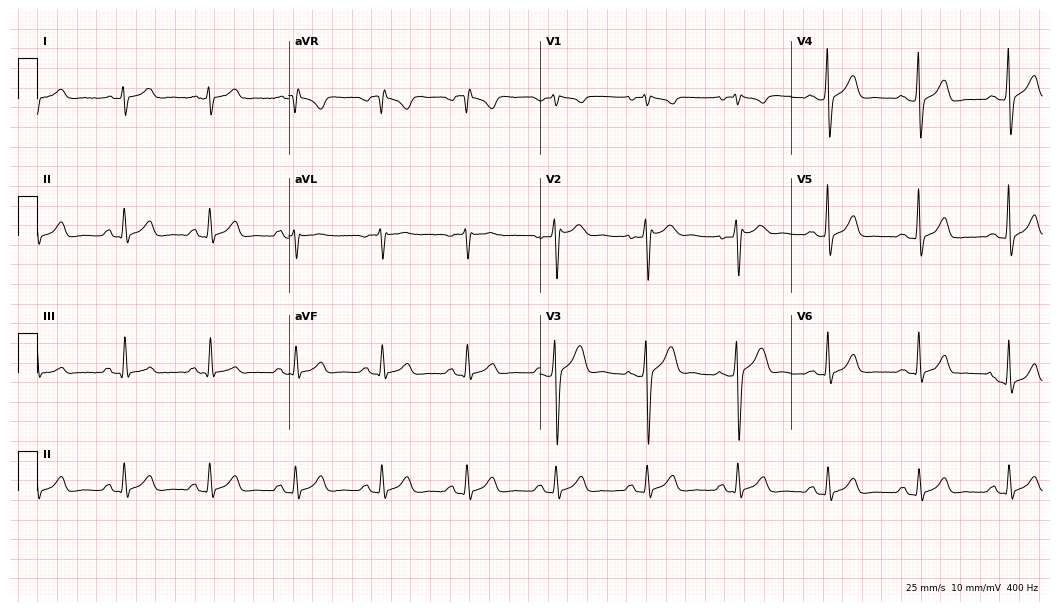
Resting 12-lead electrocardiogram. Patient: a man, 30 years old. None of these six findings is recorded: first-degree AV block, right bundle branch block (RBBB), left bundle branch block (LBBB), sinus bradycardia, atrial fibrillation (AF), sinus tachycardia.